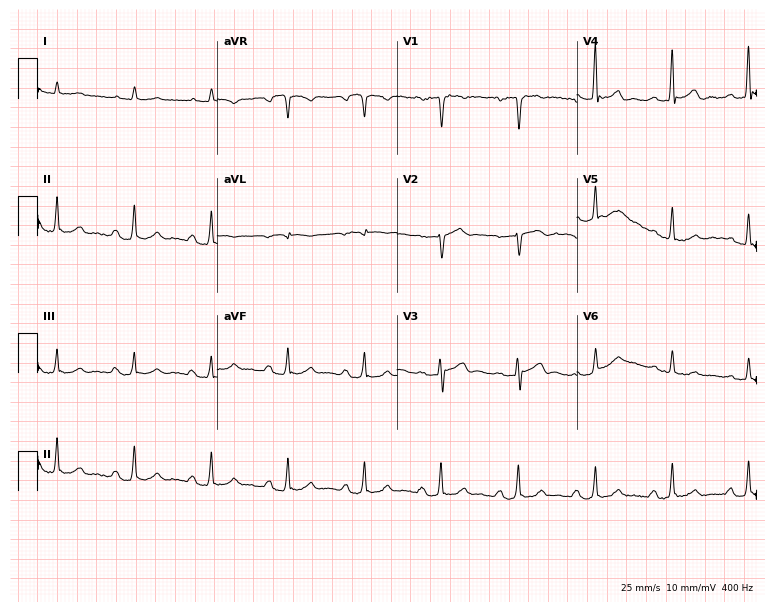
Electrocardiogram (7.3-second recording at 400 Hz), a female patient, 34 years old. Of the six screened findings (first-degree AV block, right bundle branch block, left bundle branch block, sinus bradycardia, atrial fibrillation, sinus tachycardia), none is recorded.